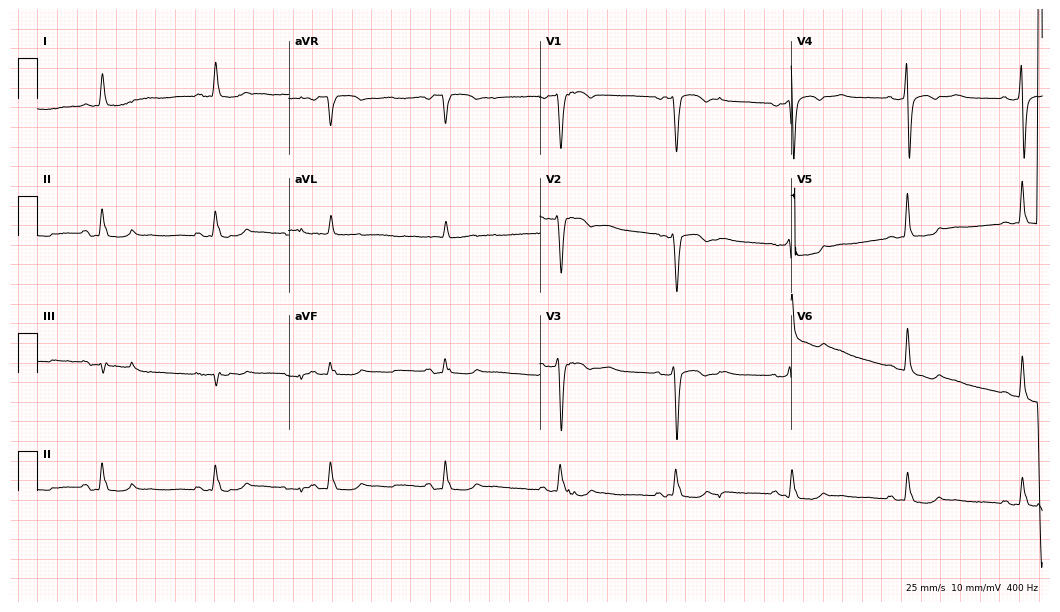
Resting 12-lead electrocardiogram. Patient: a 59-year-old male. None of these six findings is recorded: first-degree AV block, right bundle branch block, left bundle branch block, sinus bradycardia, atrial fibrillation, sinus tachycardia.